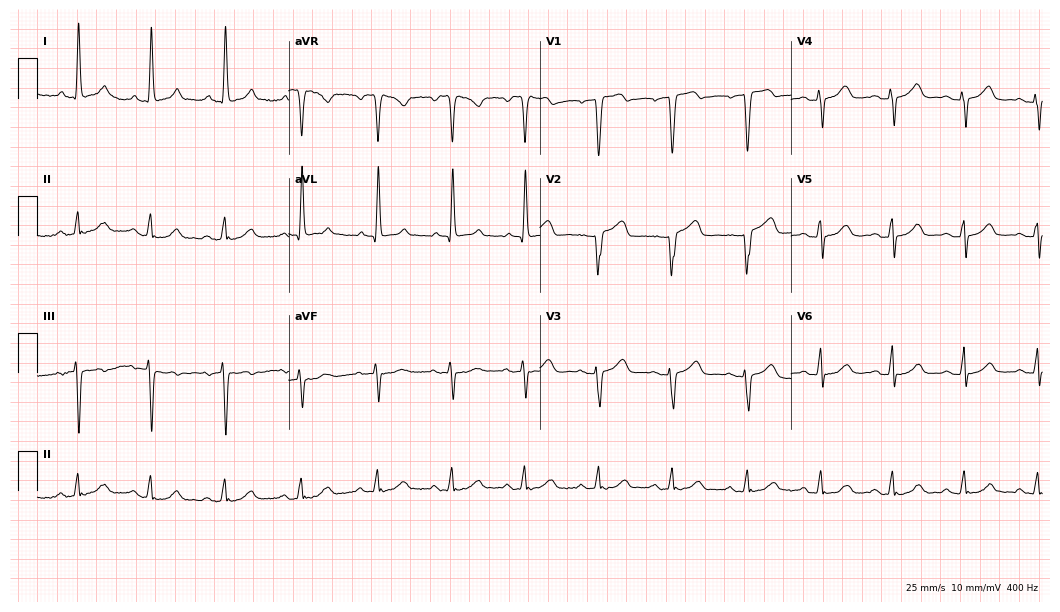
Resting 12-lead electrocardiogram (10.2-second recording at 400 Hz). Patient: a 66-year-old female. Read as a normal ECG.